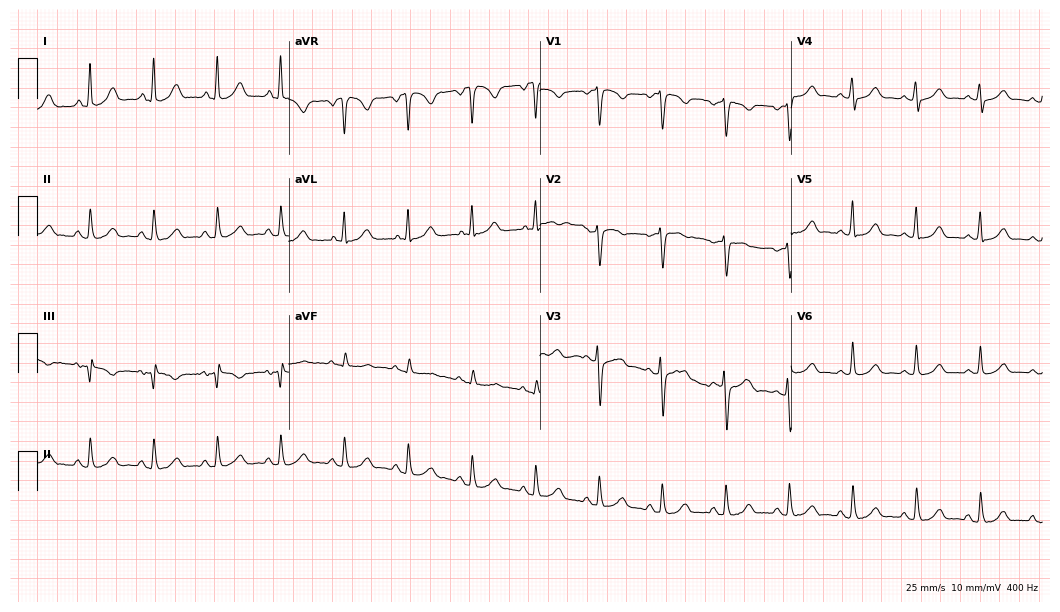
Standard 12-lead ECG recorded from a 41-year-old female. Read as a normal ECG.